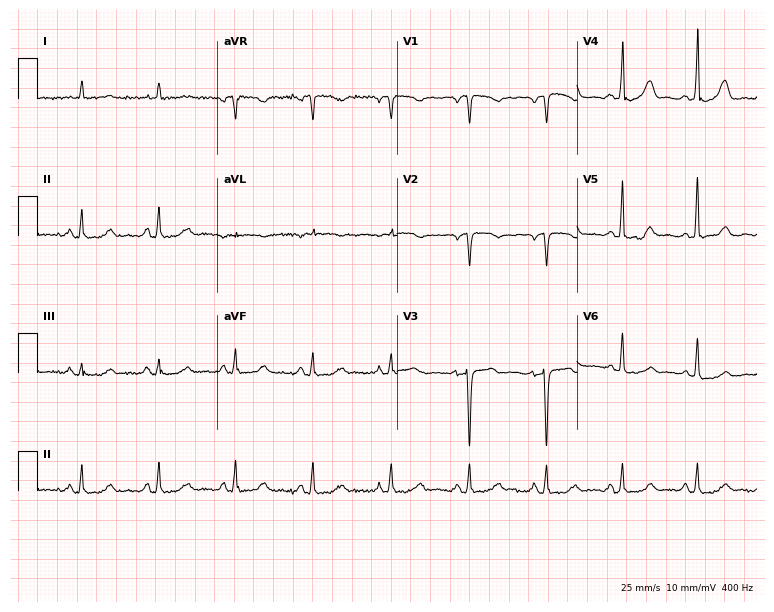
12-lead ECG from a 73-year-old woman. Screened for six findings — first-degree AV block, right bundle branch block, left bundle branch block, sinus bradycardia, atrial fibrillation, sinus tachycardia — none is recorded. Findings outside these six are not listed.